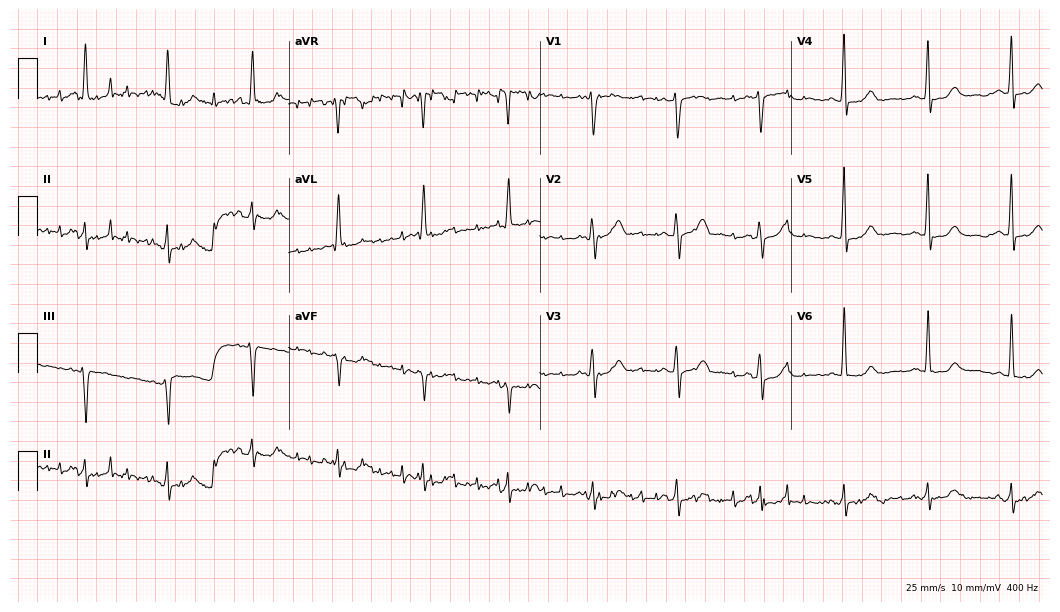
ECG (10.2-second recording at 400 Hz) — a 75-year-old male patient. Screened for six findings — first-degree AV block, right bundle branch block (RBBB), left bundle branch block (LBBB), sinus bradycardia, atrial fibrillation (AF), sinus tachycardia — none is recorded. Findings outside these six are not listed.